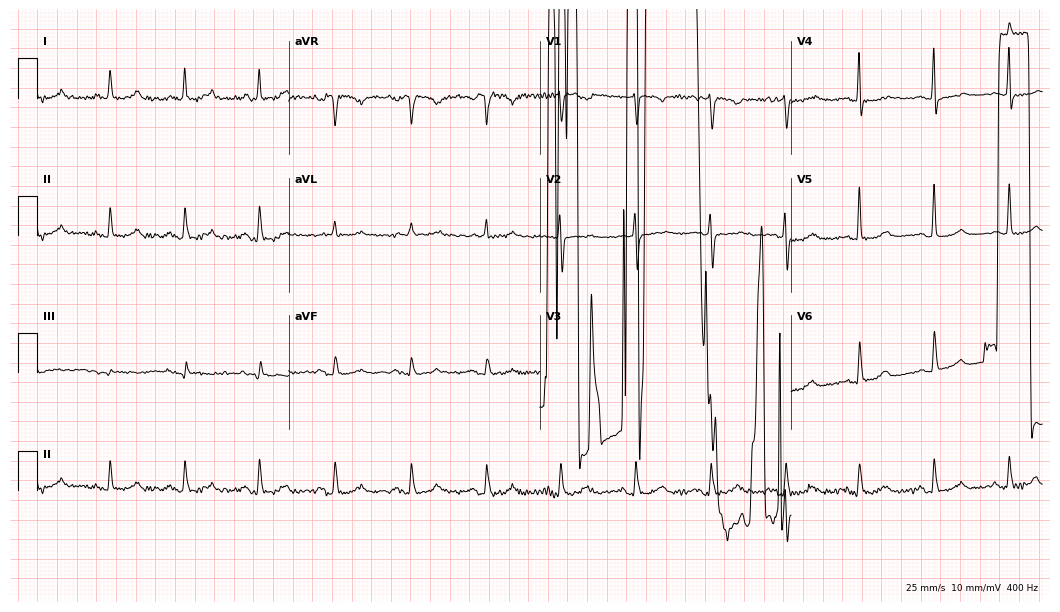
Resting 12-lead electrocardiogram (10.2-second recording at 400 Hz). Patient: a 66-year-old female. None of these six findings is recorded: first-degree AV block, right bundle branch block, left bundle branch block, sinus bradycardia, atrial fibrillation, sinus tachycardia.